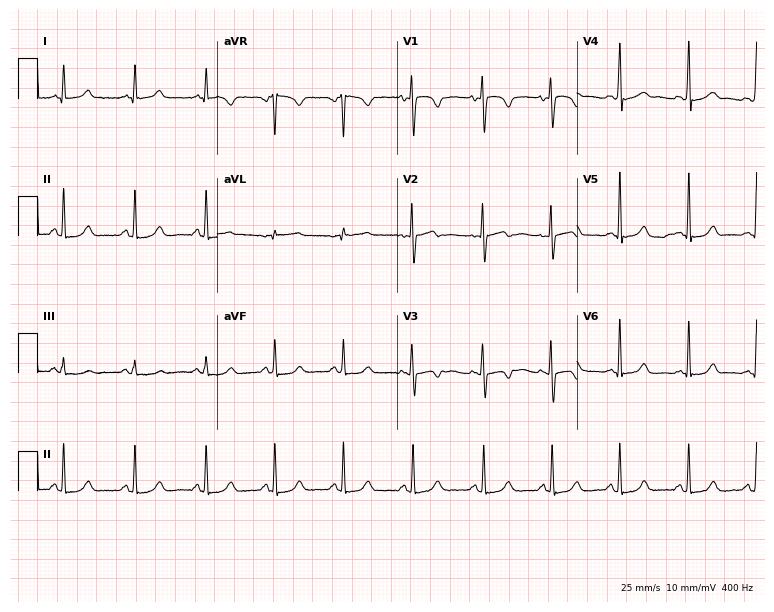
Electrocardiogram, a 50-year-old female. Overall reading on record: normal ECG.